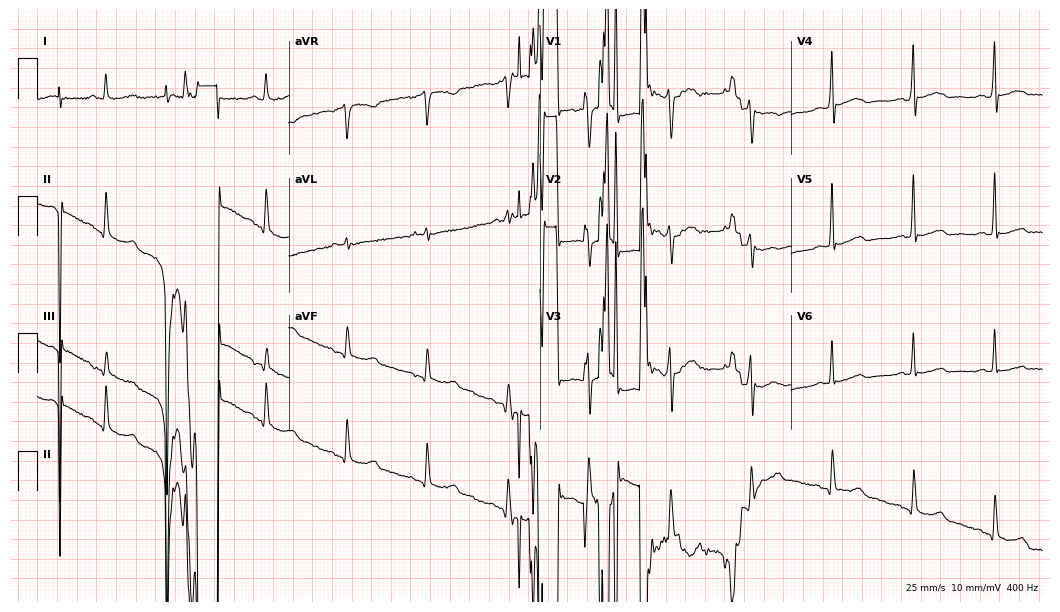
12-lead ECG from a 66-year-old male patient. Screened for six findings — first-degree AV block, right bundle branch block, left bundle branch block, sinus bradycardia, atrial fibrillation, sinus tachycardia — none is recorded.